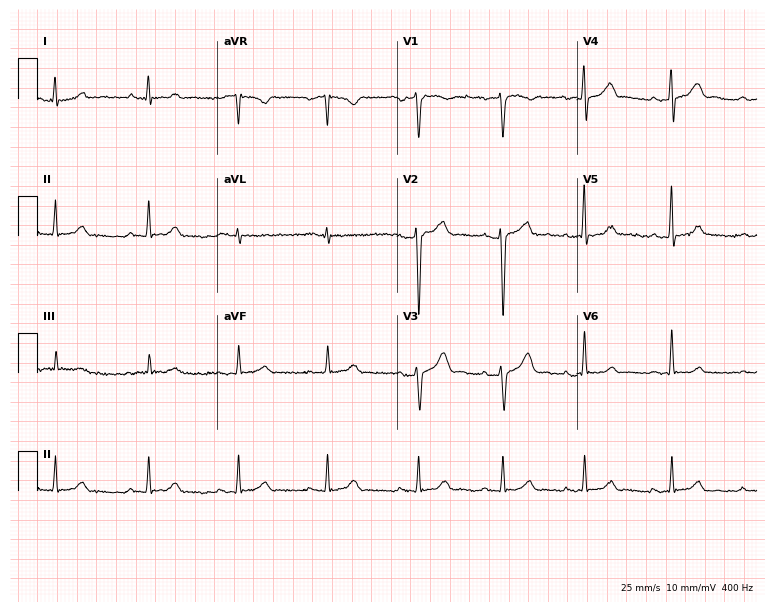
Resting 12-lead electrocardiogram. Patient: a 35-year-old male. Read as a normal ECG.